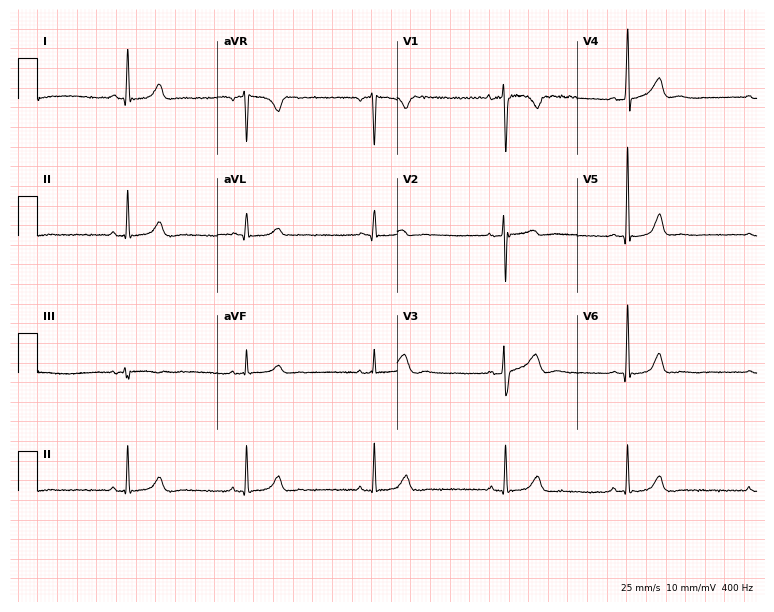
ECG (7.3-second recording at 400 Hz) — a 36-year-old female patient. Screened for six findings — first-degree AV block, right bundle branch block, left bundle branch block, sinus bradycardia, atrial fibrillation, sinus tachycardia — none is recorded.